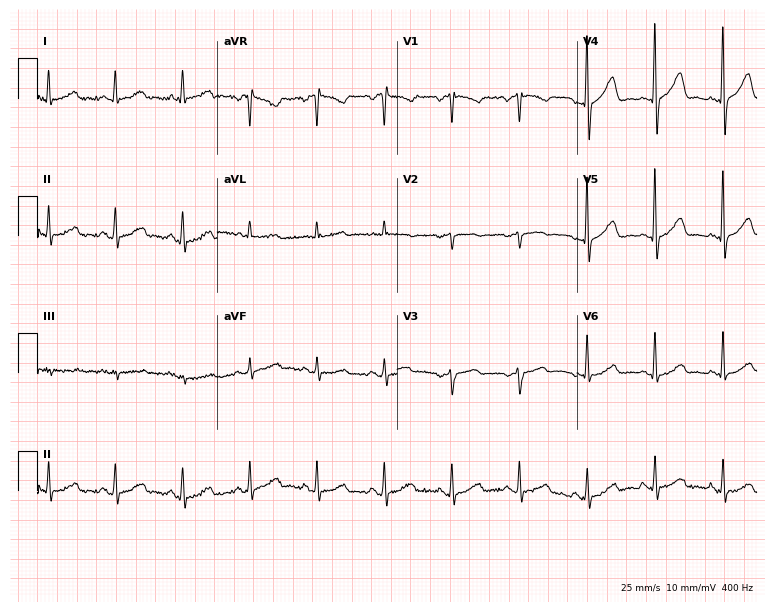
12-lead ECG from a 59-year-old female patient (7.3-second recording at 400 Hz). No first-degree AV block, right bundle branch block (RBBB), left bundle branch block (LBBB), sinus bradycardia, atrial fibrillation (AF) or sinus tachycardia recorded for this tracing. Findings outside these six are not listed.